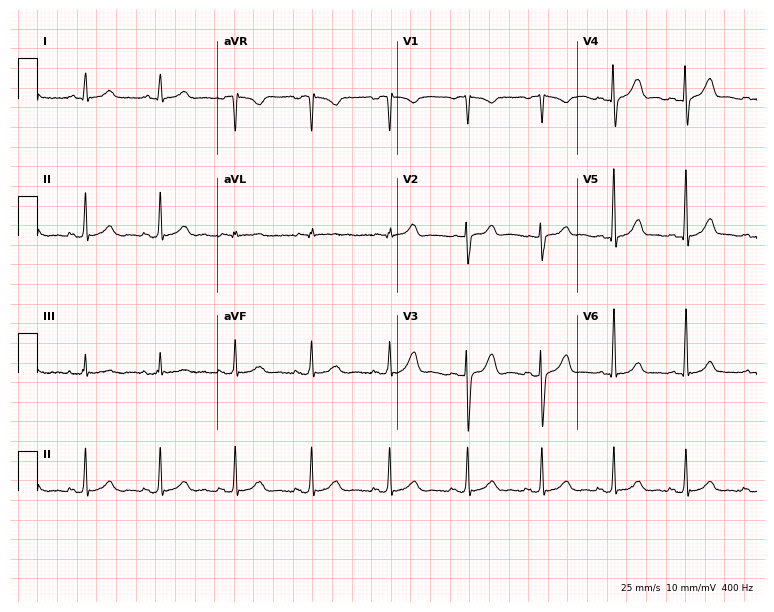
12-lead ECG (7.3-second recording at 400 Hz) from a 41-year-old male. Labelled as a normal ECG.